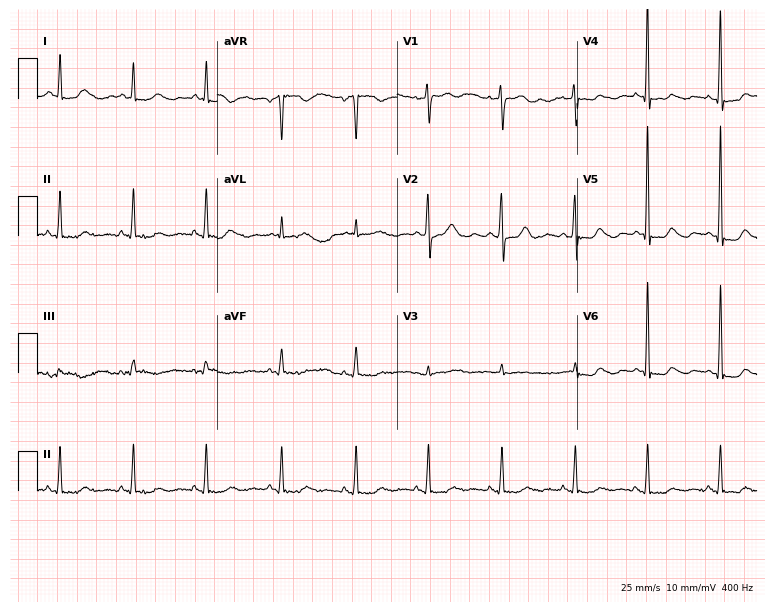
Standard 12-lead ECG recorded from a female patient, 64 years old (7.3-second recording at 400 Hz). None of these six findings is recorded: first-degree AV block, right bundle branch block, left bundle branch block, sinus bradycardia, atrial fibrillation, sinus tachycardia.